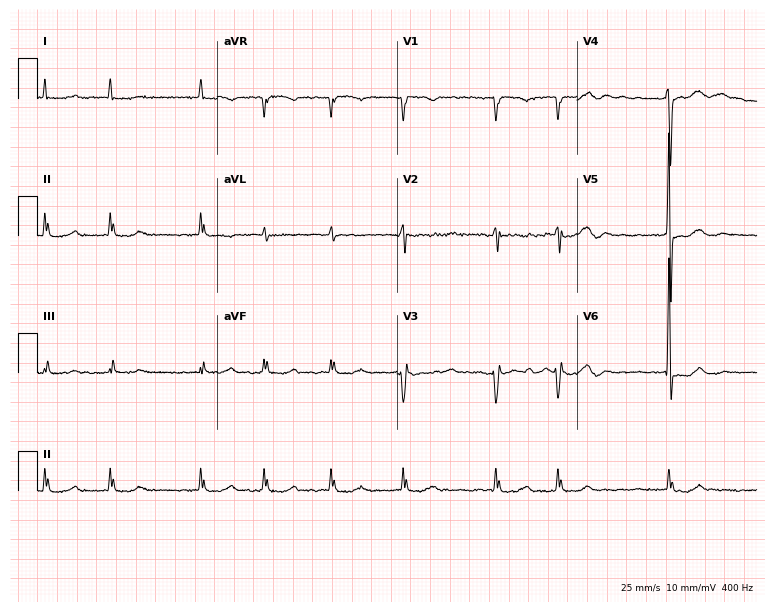
12-lead ECG from an 81-year-old woman (7.3-second recording at 400 Hz). Shows atrial fibrillation.